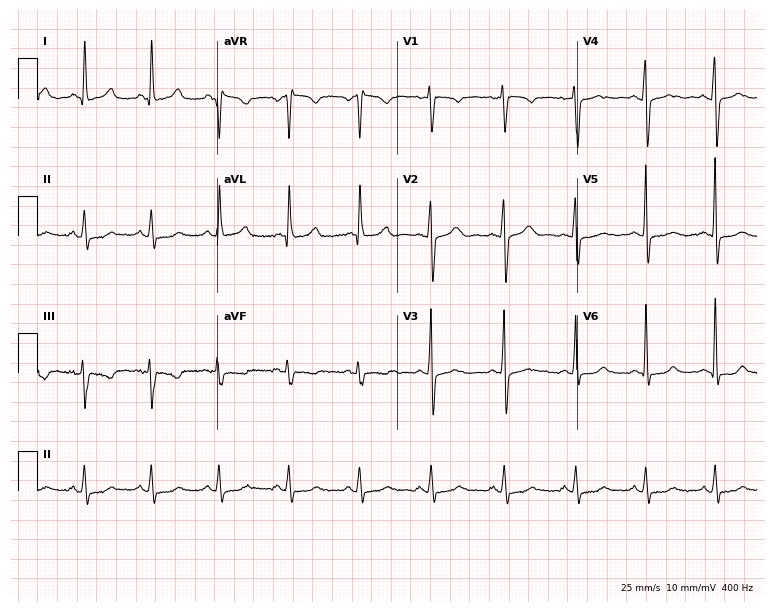
Resting 12-lead electrocardiogram (7.3-second recording at 400 Hz). Patient: a 41-year-old female. None of these six findings is recorded: first-degree AV block, right bundle branch block, left bundle branch block, sinus bradycardia, atrial fibrillation, sinus tachycardia. Findings outside these six are not listed.